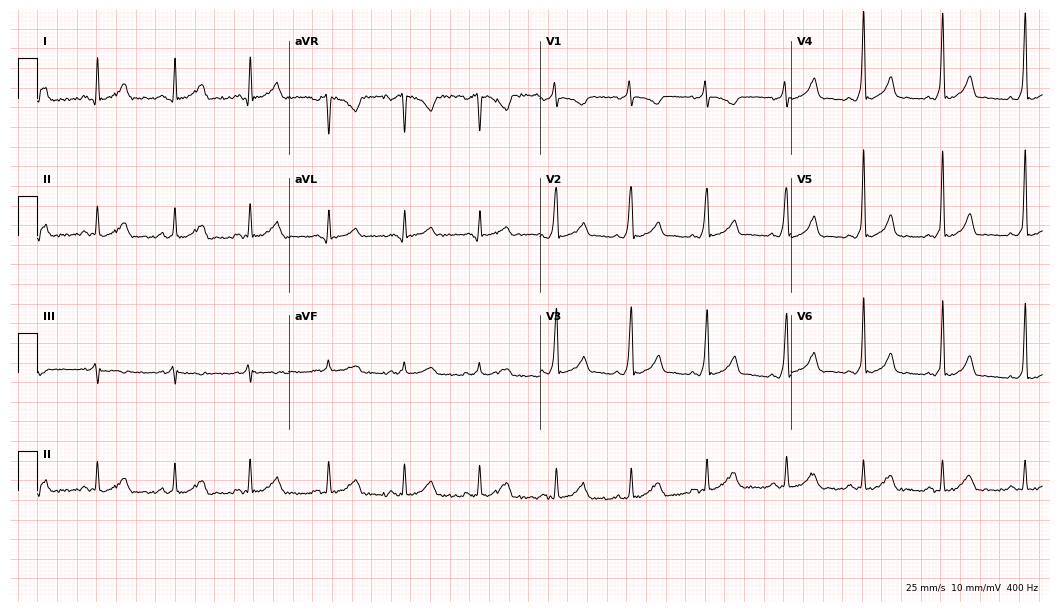
12-lead ECG from a 27-year-old woman. Screened for six findings — first-degree AV block, right bundle branch block, left bundle branch block, sinus bradycardia, atrial fibrillation, sinus tachycardia — none is recorded. Only these six findings were labelled.